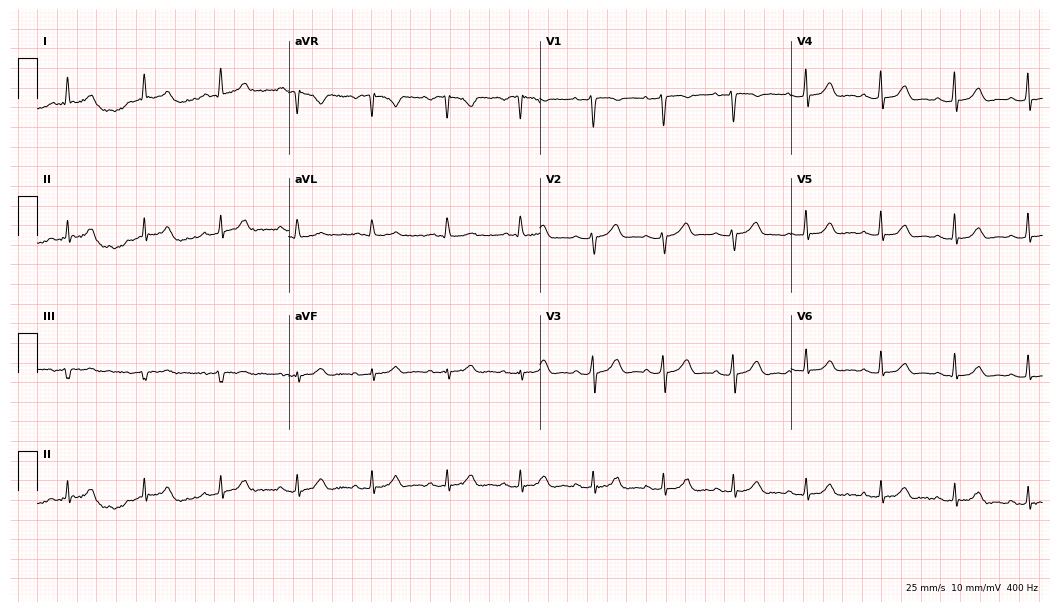
Resting 12-lead electrocardiogram (10.2-second recording at 400 Hz). Patient: a 51-year-old woman. Read as a normal ECG.